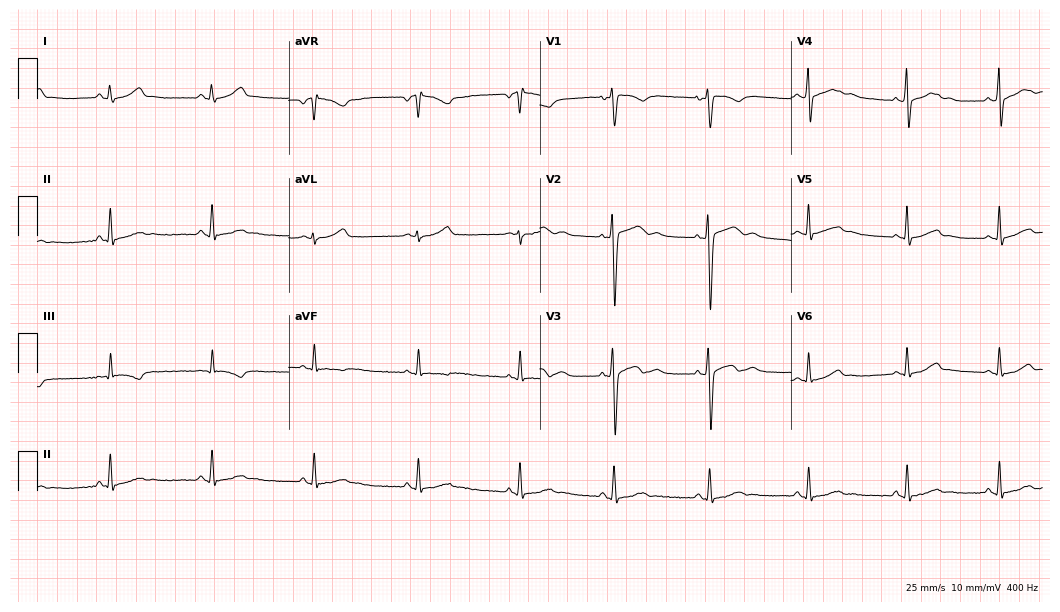
12-lead ECG from a 37-year-old female patient (10.2-second recording at 400 Hz). No first-degree AV block, right bundle branch block (RBBB), left bundle branch block (LBBB), sinus bradycardia, atrial fibrillation (AF) or sinus tachycardia recorded for this tracing.